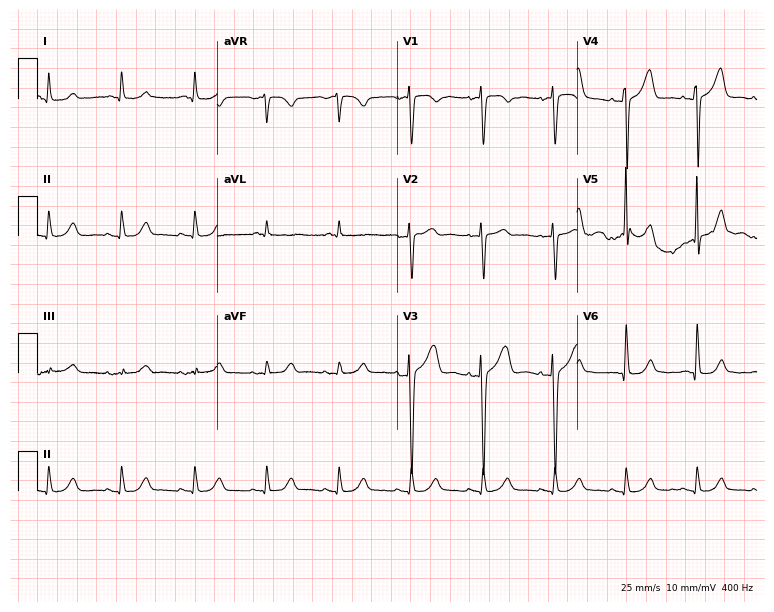
12-lead ECG (7.3-second recording at 400 Hz) from a 64-year-old male patient. Labelled as a normal ECG.